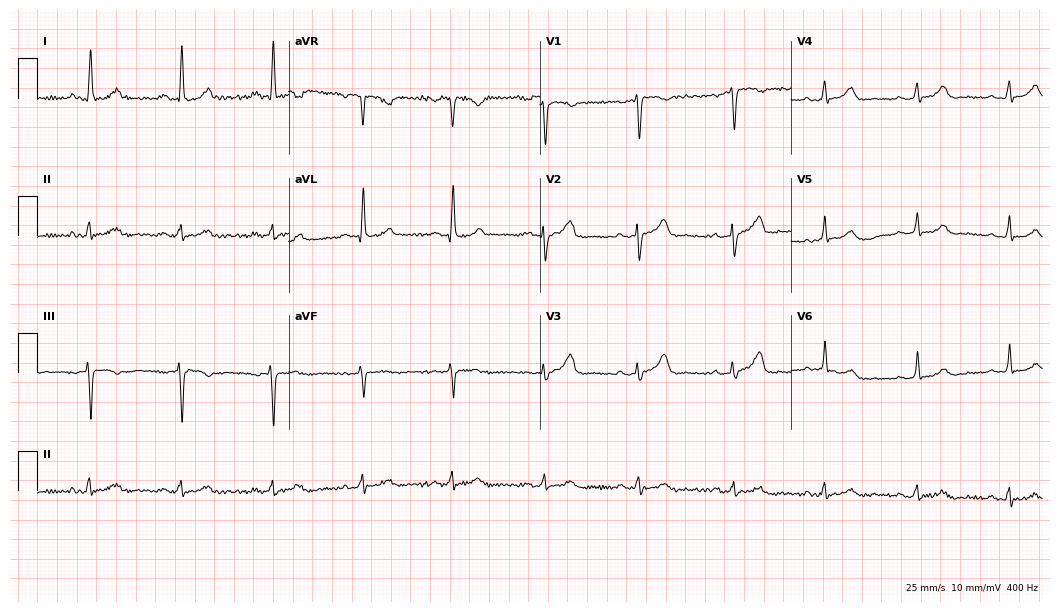
Standard 12-lead ECG recorded from a 52-year-old female patient (10.2-second recording at 400 Hz). None of these six findings is recorded: first-degree AV block, right bundle branch block, left bundle branch block, sinus bradycardia, atrial fibrillation, sinus tachycardia.